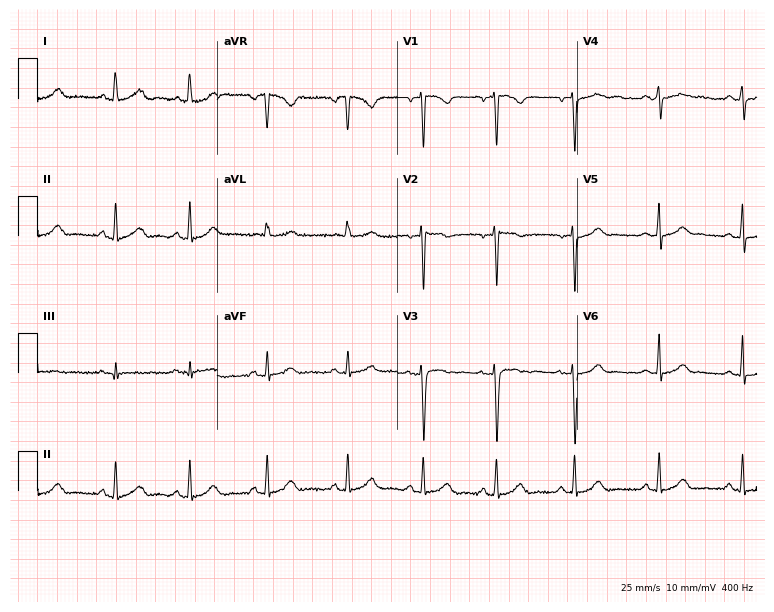
12-lead ECG from a 27-year-old woman. Labelled as a normal ECG.